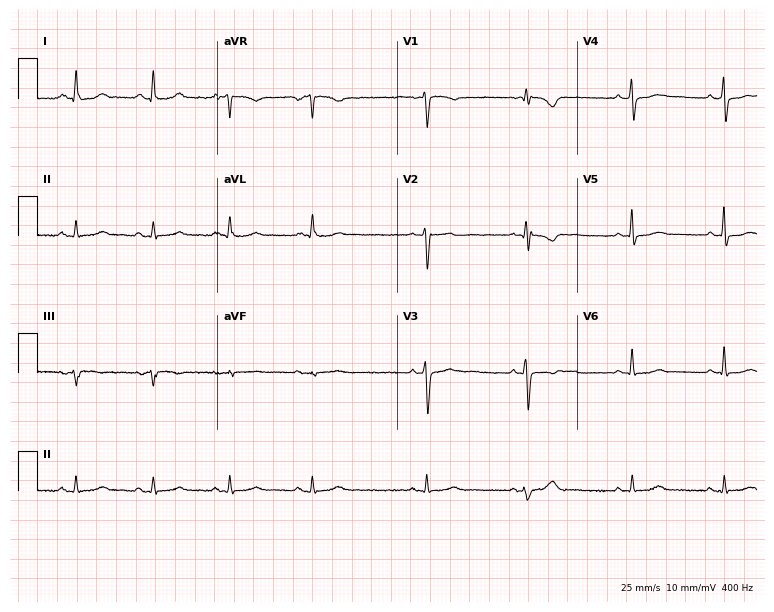
12-lead ECG from a woman, 49 years old. Screened for six findings — first-degree AV block, right bundle branch block, left bundle branch block, sinus bradycardia, atrial fibrillation, sinus tachycardia — none is recorded.